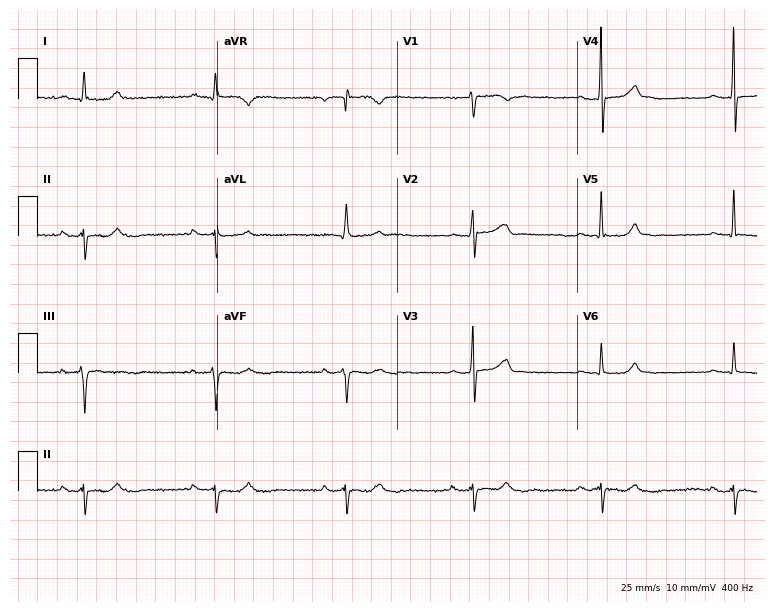
12-lead ECG from a female, 63 years old. Screened for six findings — first-degree AV block, right bundle branch block, left bundle branch block, sinus bradycardia, atrial fibrillation, sinus tachycardia — none is recorded. Other findings, if any, are not listed.